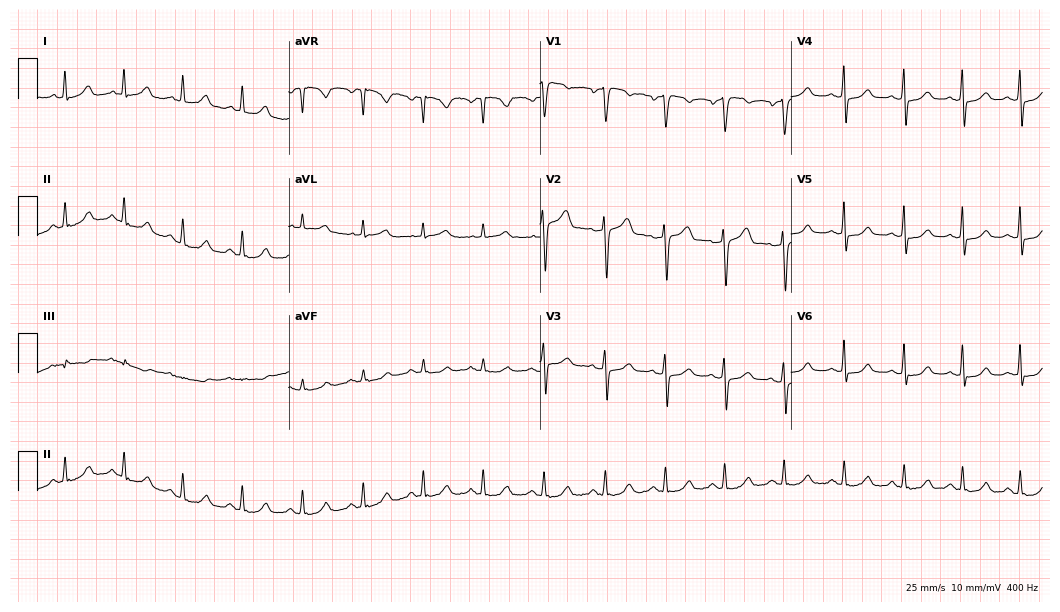
Electrocardiogram, a woman, 59 years old. Overall reading on record: normal ECG.